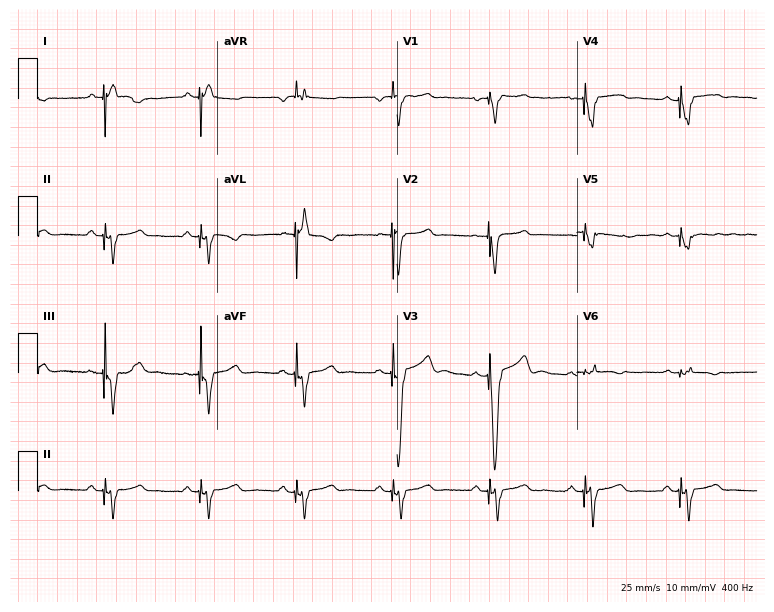
12-lead ECG from a woman, 45 years old. No first-degree AV block, right bundle branch block, left bundle branch block, sinus bradycardia, atrial fibrillation or sinus tachycardia recorded for this tracing. Only these six findings were labelled.